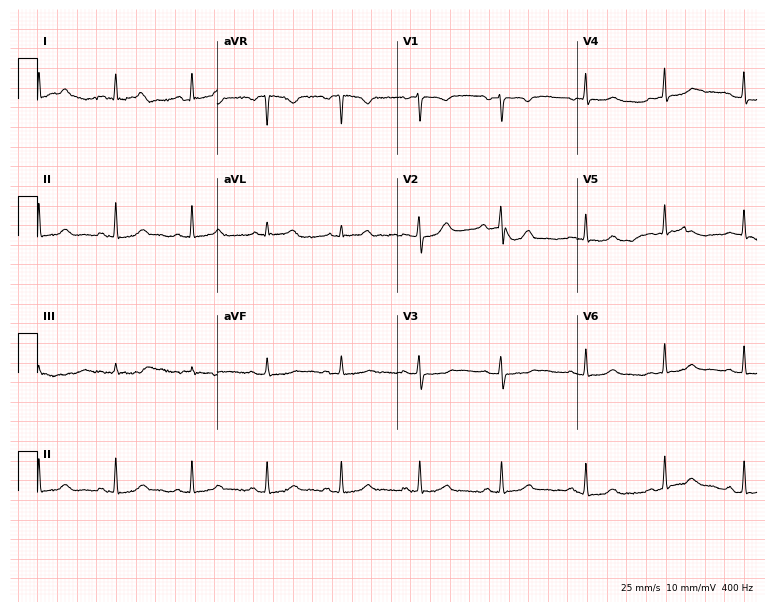
Resting 12-lead electrocardiogram (7.3-second recording at 400 Hz). Patient: a 46-year-old female. Read as a normal ECG.